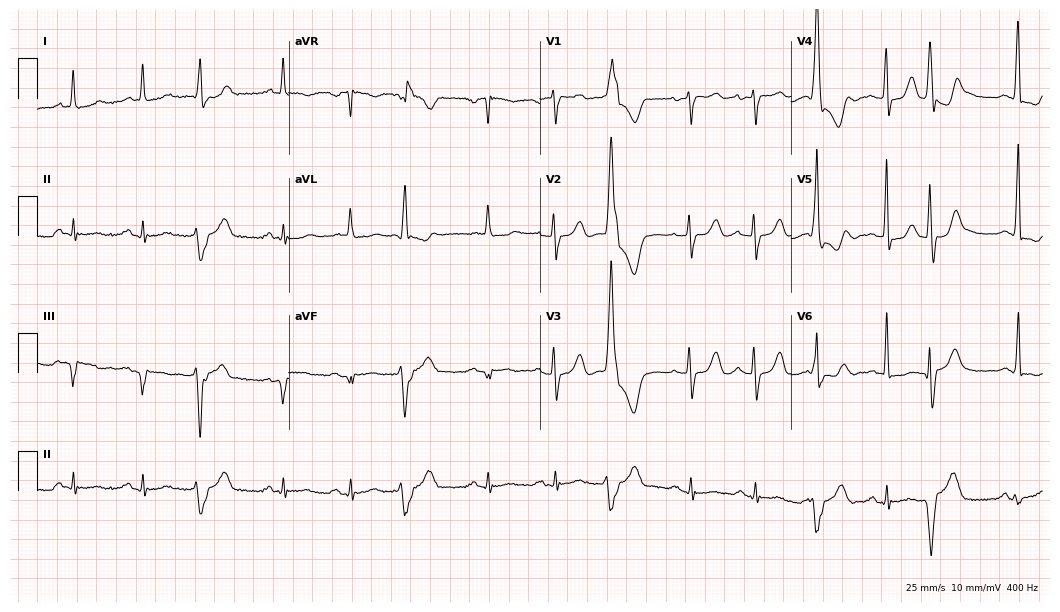
Resting 12-lead electrocardiogram. Patient: a female, 68 years old. None of these six findings is recorded: first-degree AV block, right bundle branch block, left bundle branch block, sinus bradycardia, atrial fibrillation, sinus tachycardia.